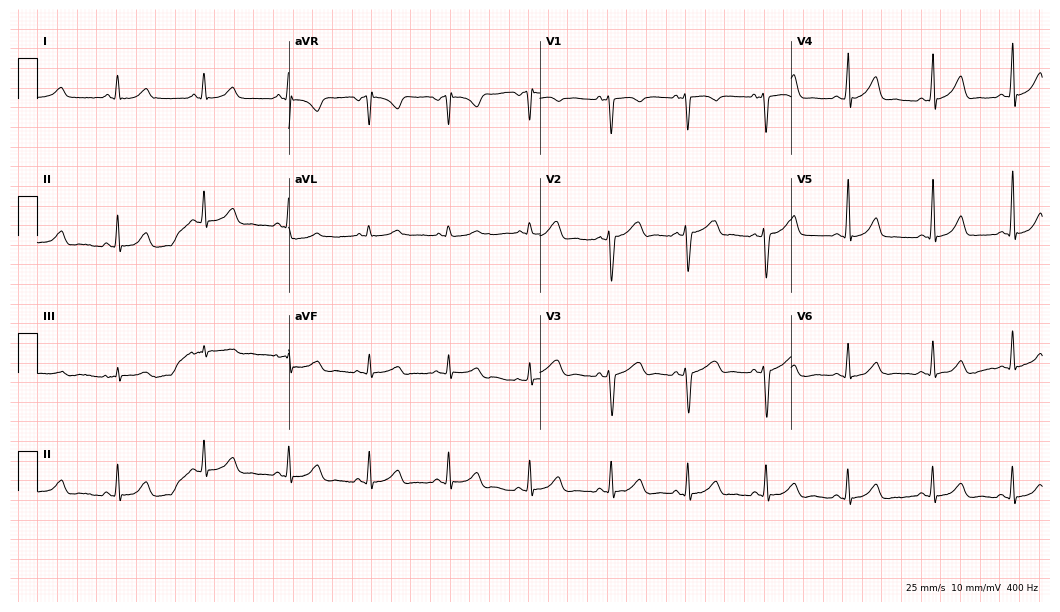
Standard 12-lead ECG recorded from a woman, 25 years old (10.2-second recording at 400 Hz). Read as a normal ECG.